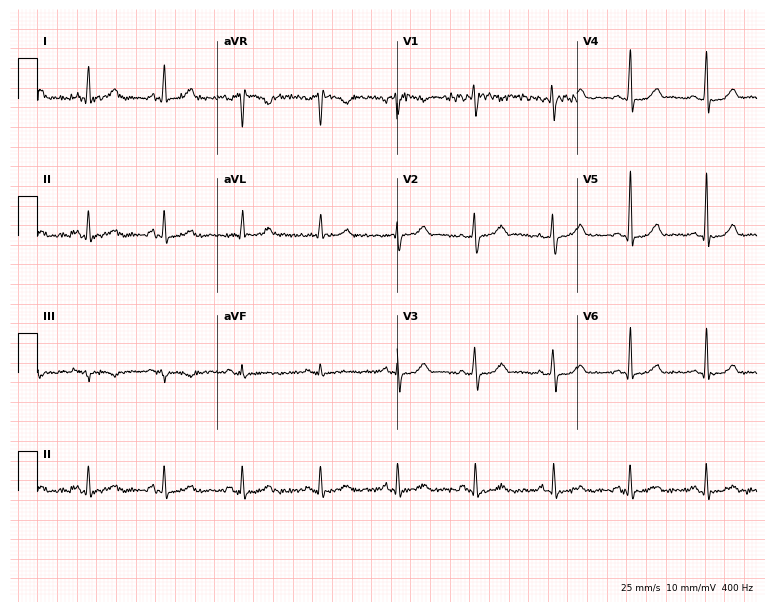
ECG (7.3-second recording at 400 Hz) — a 35-year-old woman. Screened for six findings — first-degree AV block, right bundle branch block, left bundle branch block, sinus bradycardia, atrial fibrillation, sinus tachycardia — none is recorded.